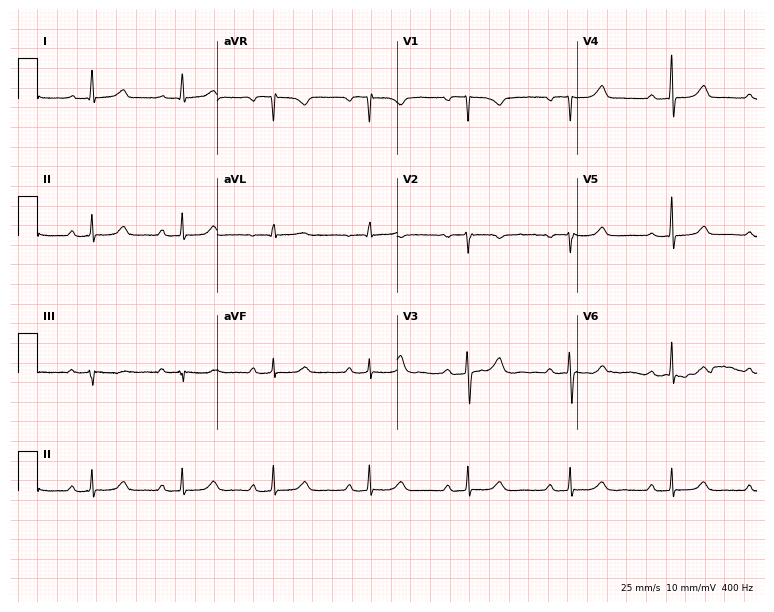
Electrocardiogram (7.3-second recording at 400 Hz), a female patient, 53 years old. Interpretation includes first-degree AV block.